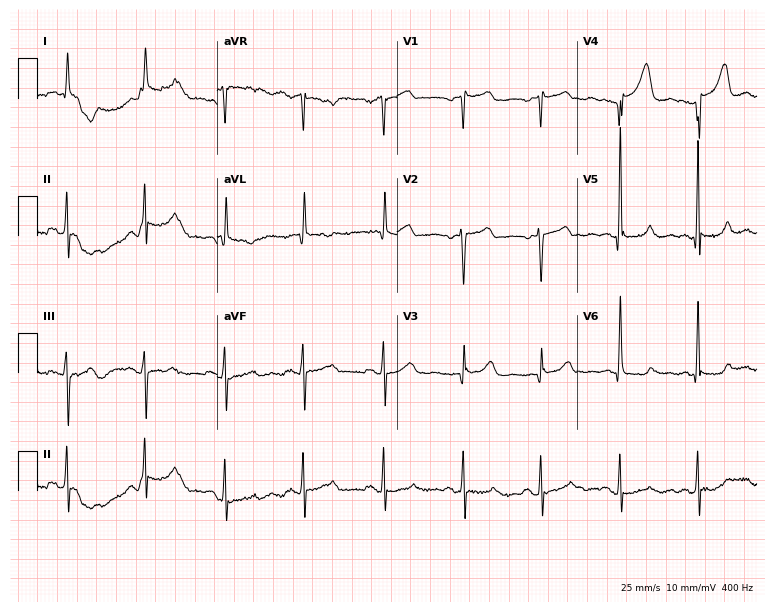
Standard 12-lead ECG recorded from a 79-year-old female (7.3-second recording at 400 Hz). None of these six findings is recorded: first-degree AV block, right bundle branch block, left bundle branch block, sinus bradycardia, atrial fibrillation, sinus tachycardia. Findings outside these six are not listed.